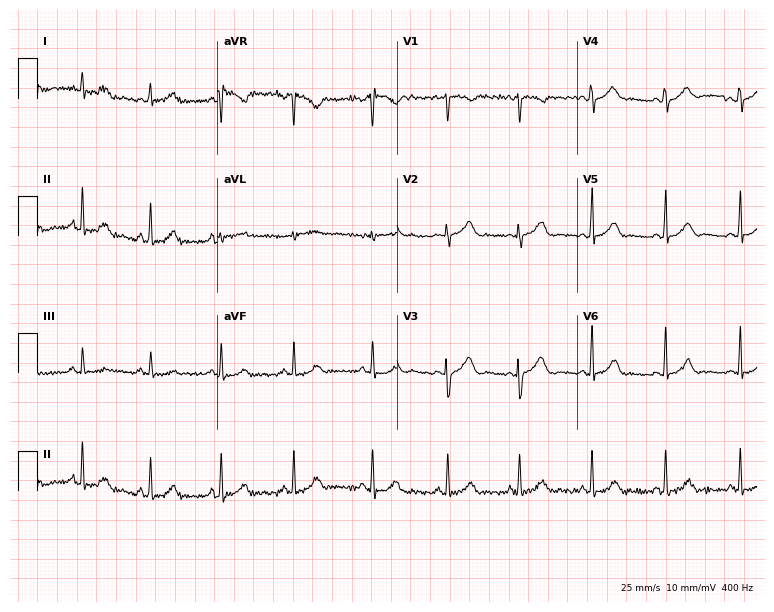
12-lead ECG from a 29-year-old woman (7.3-second recording at 400 Hz). Recorded interpretation: within normal limits.